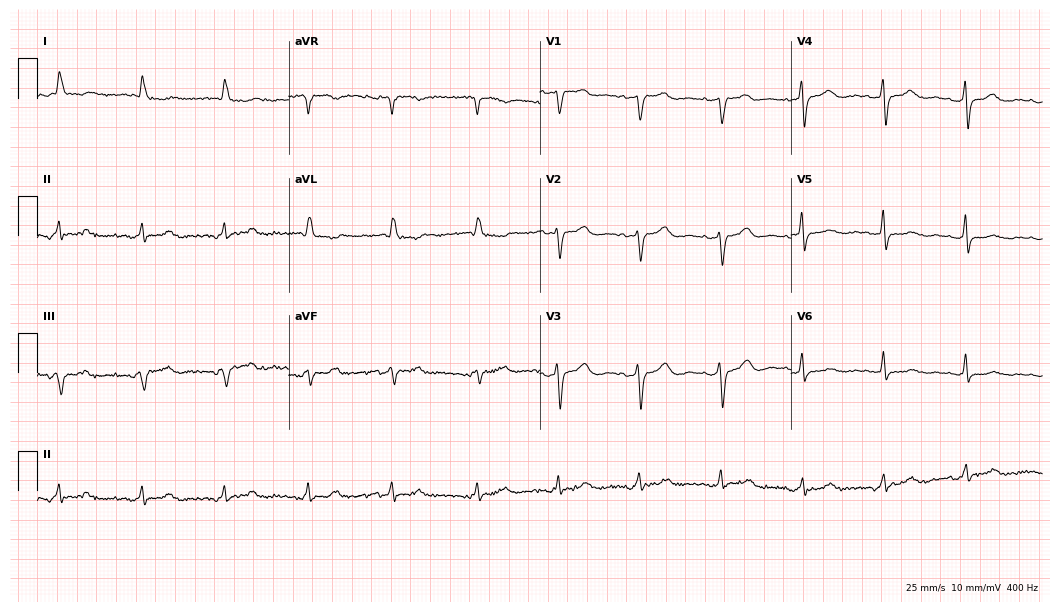
Resting 12-lead electrocardiogram (10.2-second recording at 400 Hz). Patient: an 83-year-old female. None of these six findings is recorded: first-degree AV block, right bundle branch block (RBBB), left bundle branch block (LBBB), sinus bradycardia, atrial fibrillation (AF), sinus tachycardia. Findings outside these six are not listed.